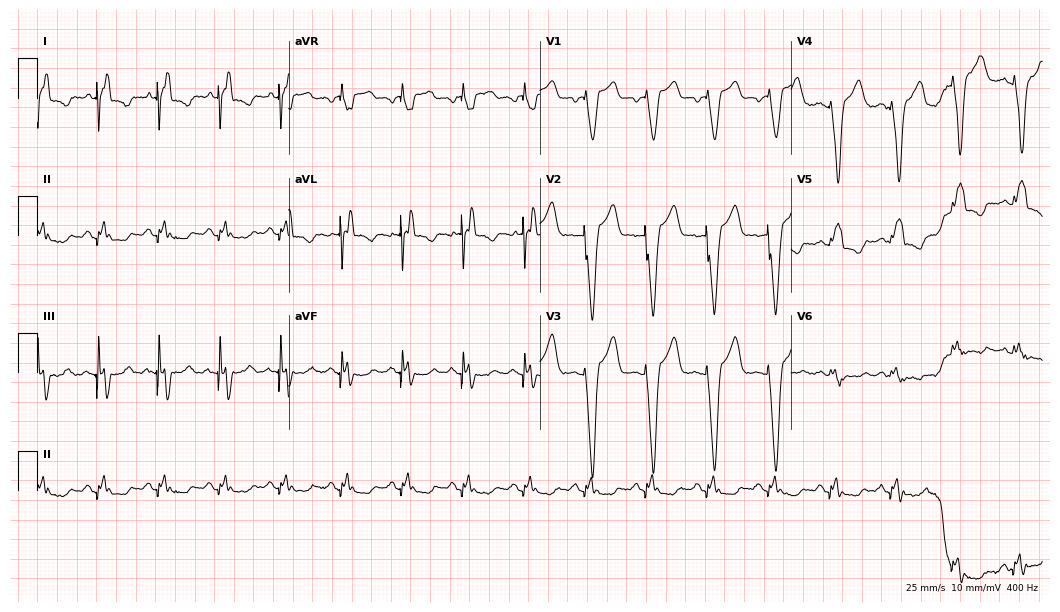
ECG — a man, 34 years old. Screened for six findings — first-degree AV block, right bundle branch block, left bundle branch block, sinus bradycardia, atrial fibrillation, sinus tachycardia — none is recorded.